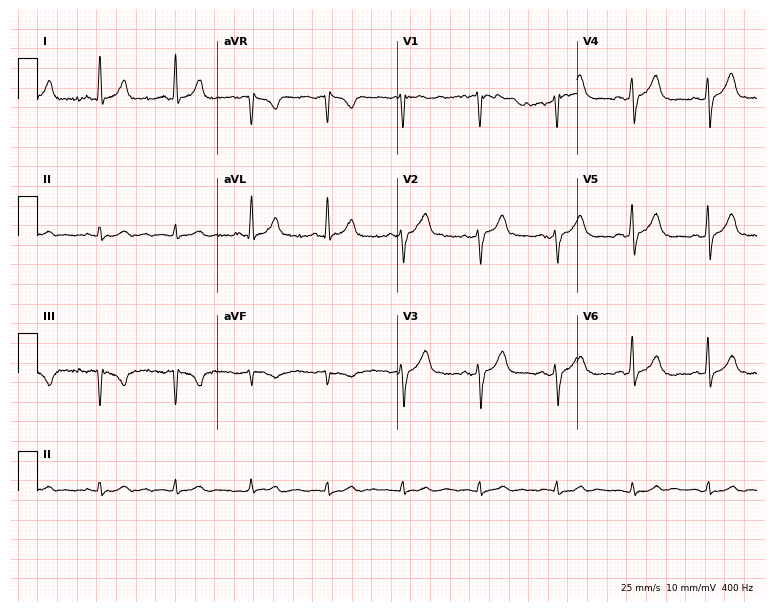
ECG — a man, 54 years old. Screened for six findings — first-degree AV block, right bundle branch block (RBBB), left bundle branch block (LBBB), sinus bradycardia, atrial fibrillation (AF), sinus tachycardia — none is recorded. Other findings, if any, are not listed.